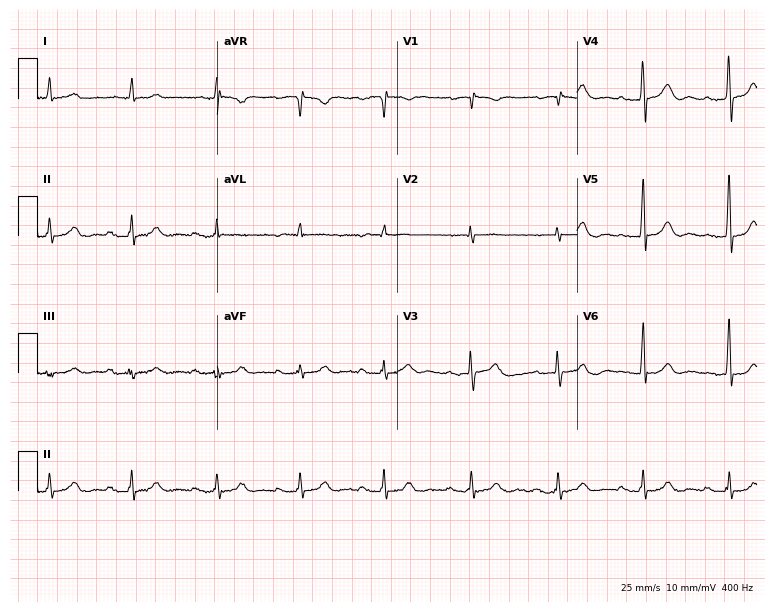
Electrocardiogram (7.3-second recording at 400 Hz), a 70-year-old male. Interpretation includes first-degree AV block.